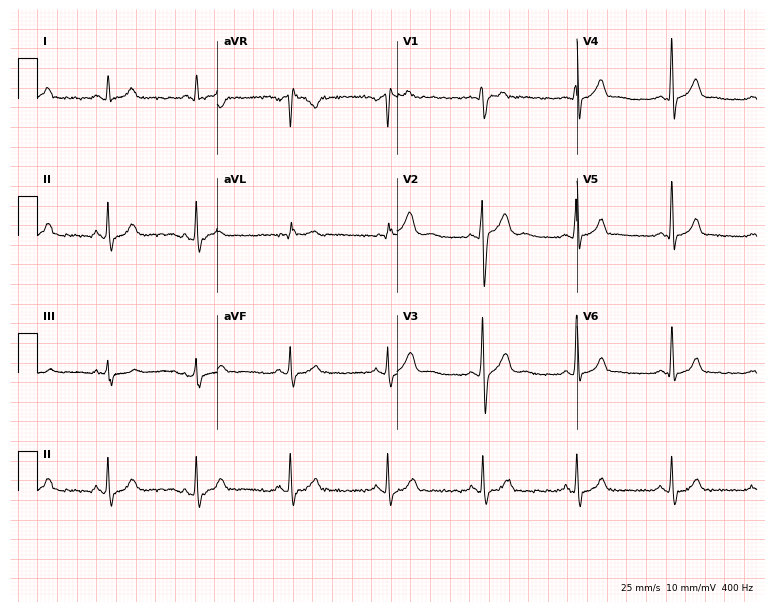
Electrocardiogram (7.3-second recording at 400 Hz), a male, 28 years old. Overall reading on record: normal ECG.